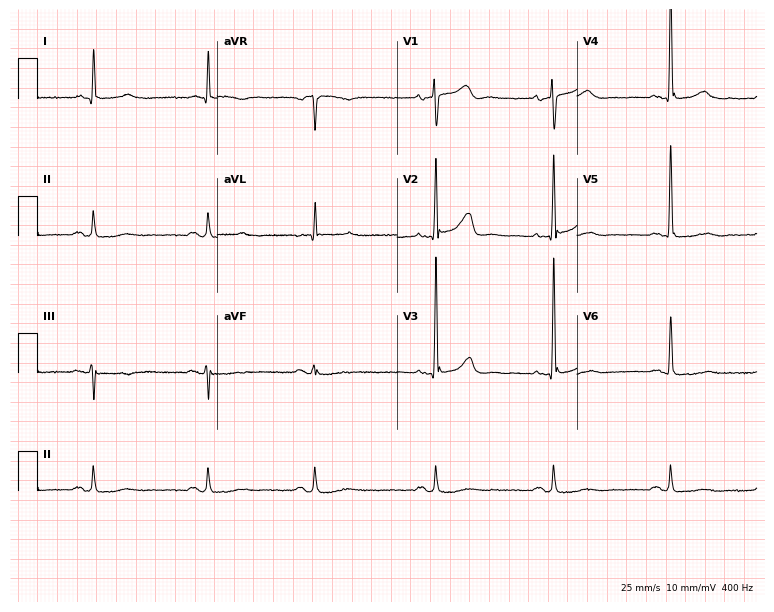
Electrocardiogram (7.3-second recording at 400 Hz), an 81-year-old man. Overall reading on record: normal ECG.